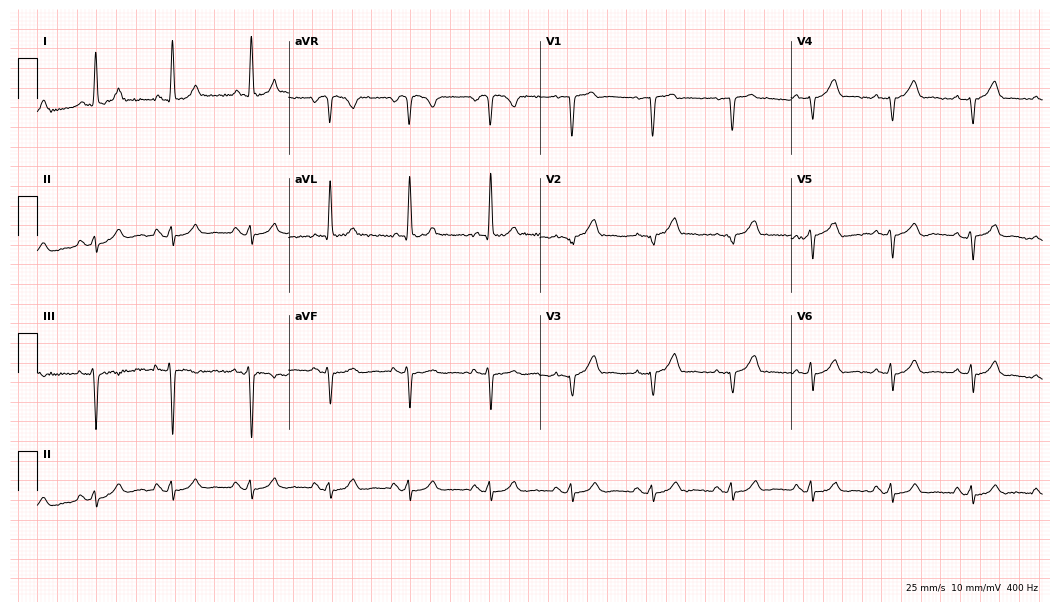
12-lead ECG (10.2-second recording at 400 Hz) from a 39-year-old female patient. Screened for six findings — first-degree AV block, right bundle branch block, left bundle branch block, sinus bradycardia, atrial fibrillation, sinus tachycardia — none is recorded. Findings outside these six are not listed.